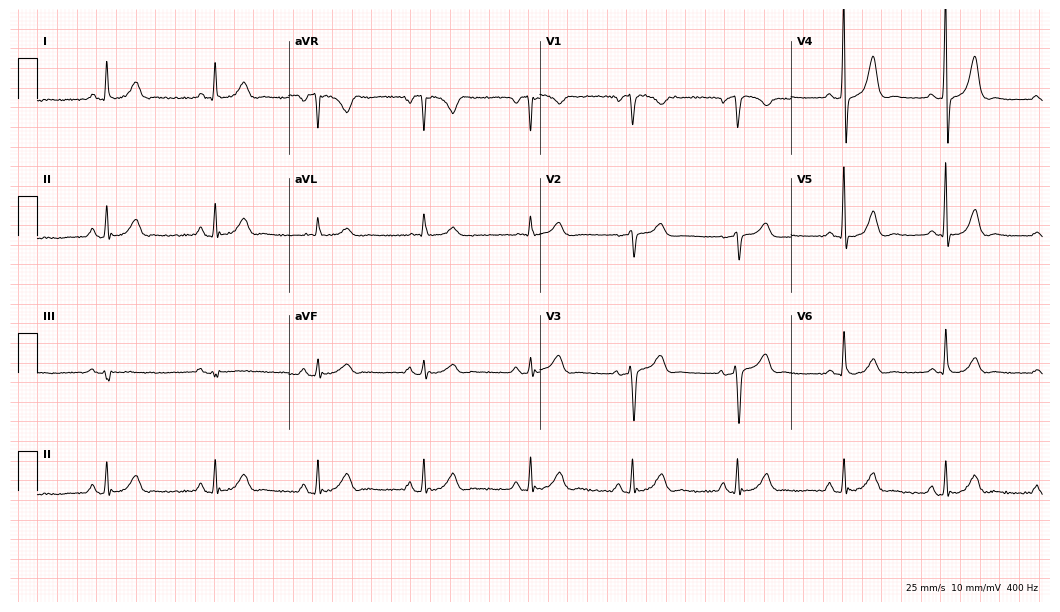
Resting 12-lead electrocardiogram. Patient: a 58-year-old female. None of these six findings is recorded: first-degree AV block, right bundle branch block, left bundle branch block, sinus bradycardia, atrial fibrillation, sinus tachycardia.